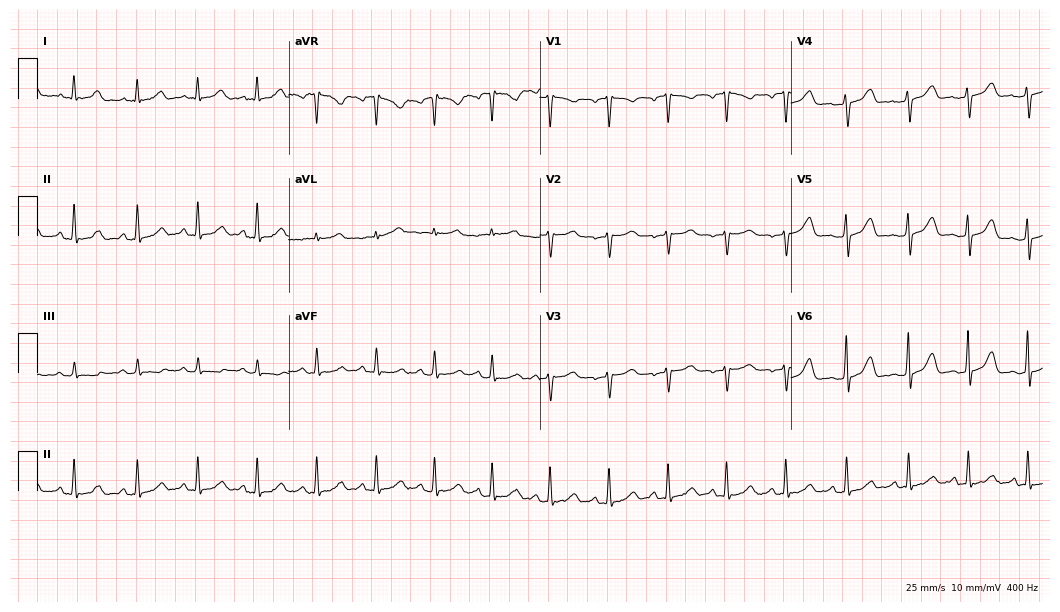
12-lead ECG from a 36-year-old female. Labelled as a normal ECG.